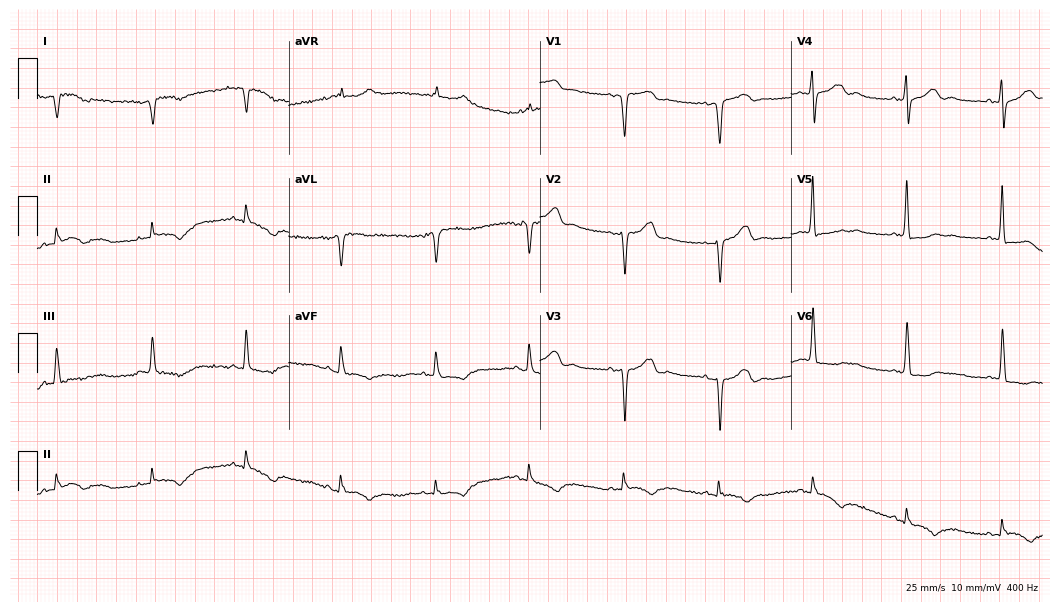
12-lead ECG from an 83-year-old woman. No first-degree AV block, right bundle branch block (RBBB), left bundle branch block (LBBB), sinus bradycardia, atrial fibrillation (AF) or sinus tachycardia recorded for this tracing.